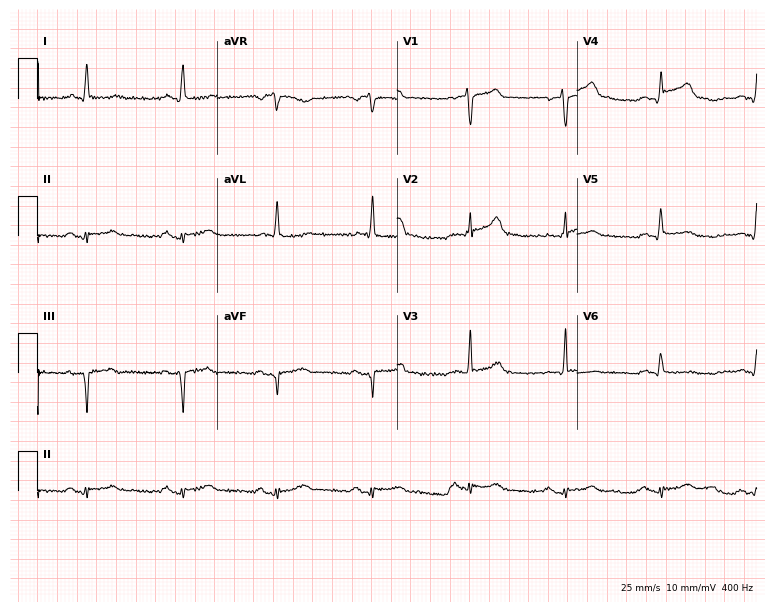
Electrocardiogram (7.3-second recording at 400 Hz), a male patient, 77 years old. Of the six screened findings (first-degree AV block, right bundle branch block (RBBB), left bundle branch block (LBBB), sinus bradycardia, atrial fibrillation (AF), sinus tachycardia), none is recorded. Findings outside these six are not listed.